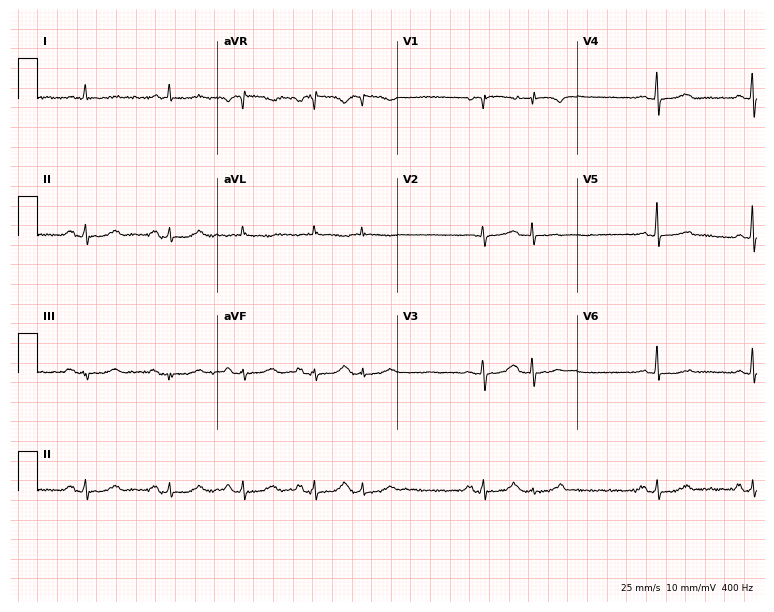
12-lead ECG from an 82-year-old woman. Labelled as a normal ECG.